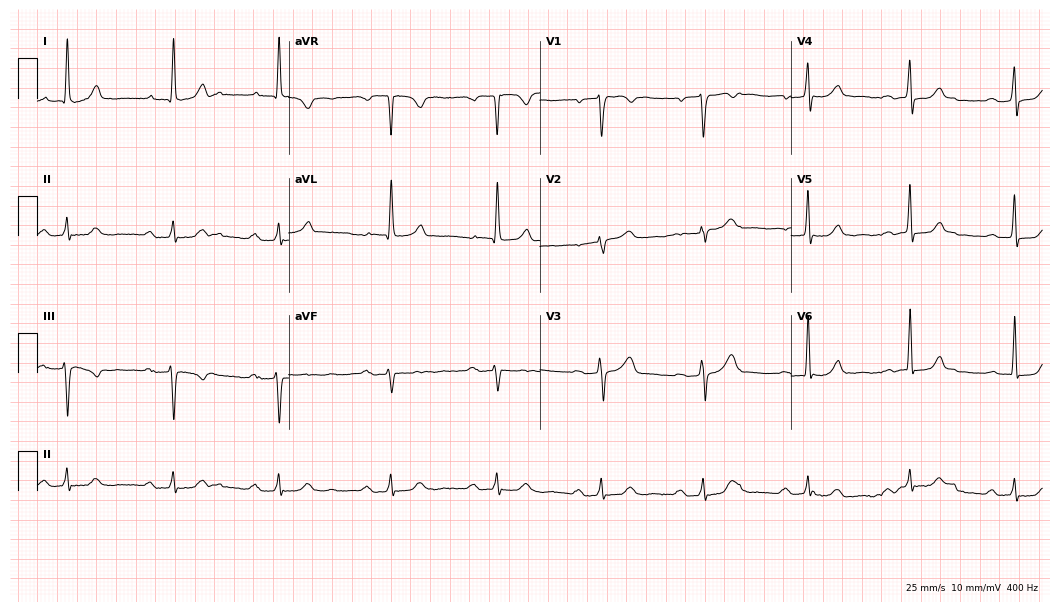
Electrocardiogram (10.2-second recording at 400 Hz), a woman, 66 years old. Overall reading on record: normal ECG.